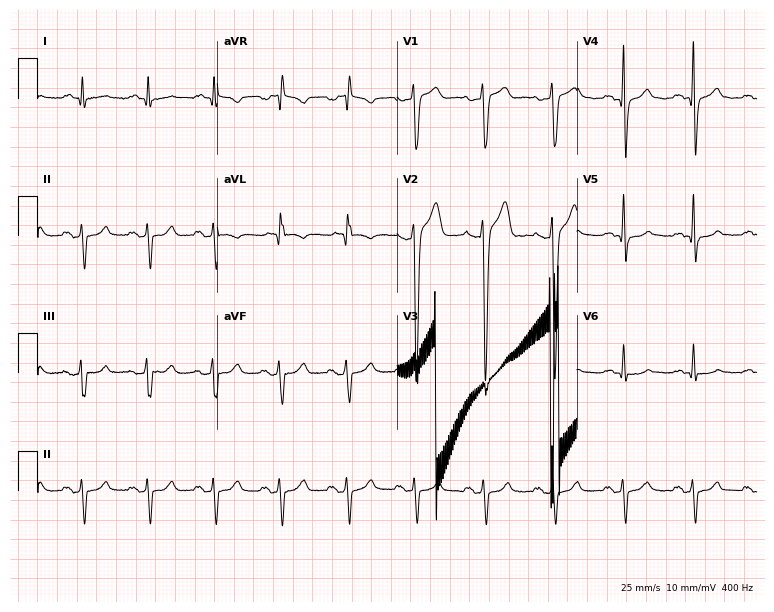
ECG — a 43-year-old man. Screened for six findings — first-degree AV block, right bundle branch block, left bundle branch block, sinus bradycardia, atrial fibrillation, sinus tachycardia — none is recorded. Only these six findings were labelled.